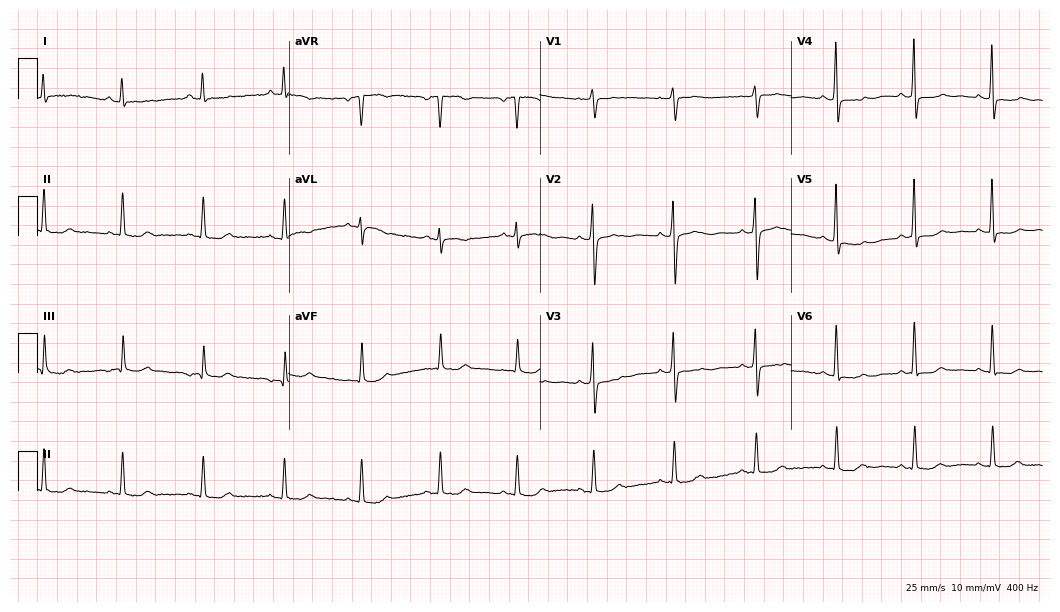
Resting 12-lead electrocardiogram. Patient: a female, 59 years old. None of these six findings is recorded: first-degree AV block, right bundle branch block (RBBB), left bundle branch block (LBBB), sinus bradycardia, atrial fibrillation (AF), sinus tachycardia.